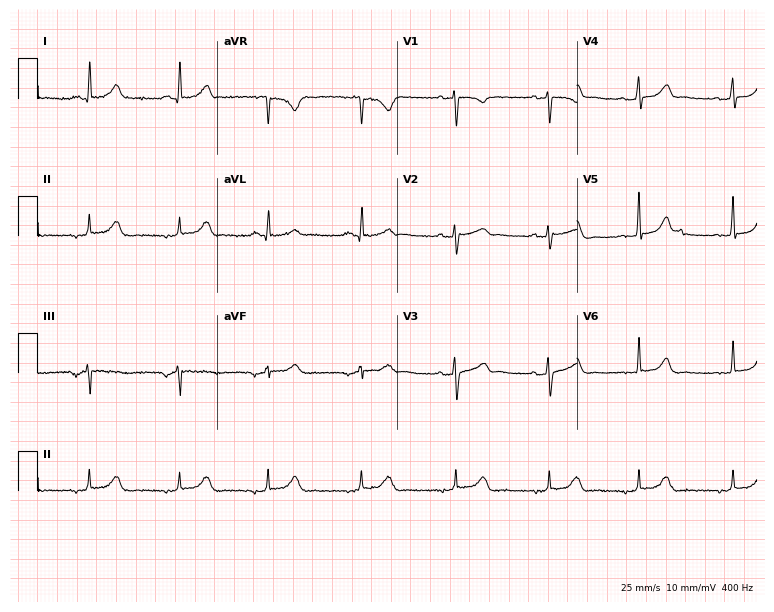
12-lead ECG from a 59-year-old female (7.3-second recording at 400 Hz). Recorded interpretation: within normal limits.